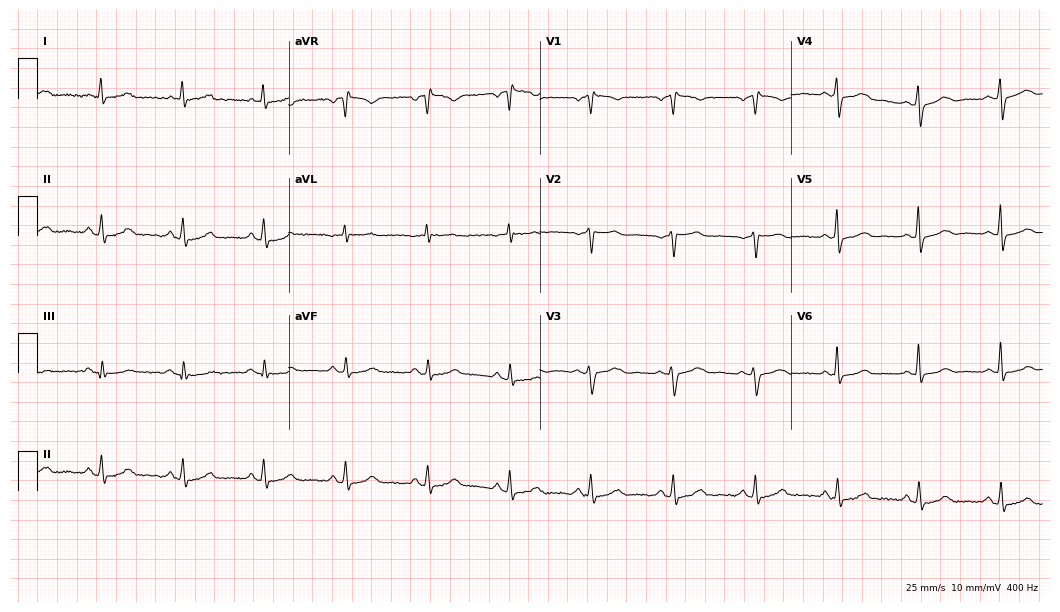
ECG — a 58-year-old woman. Labelled as a normal ECG.